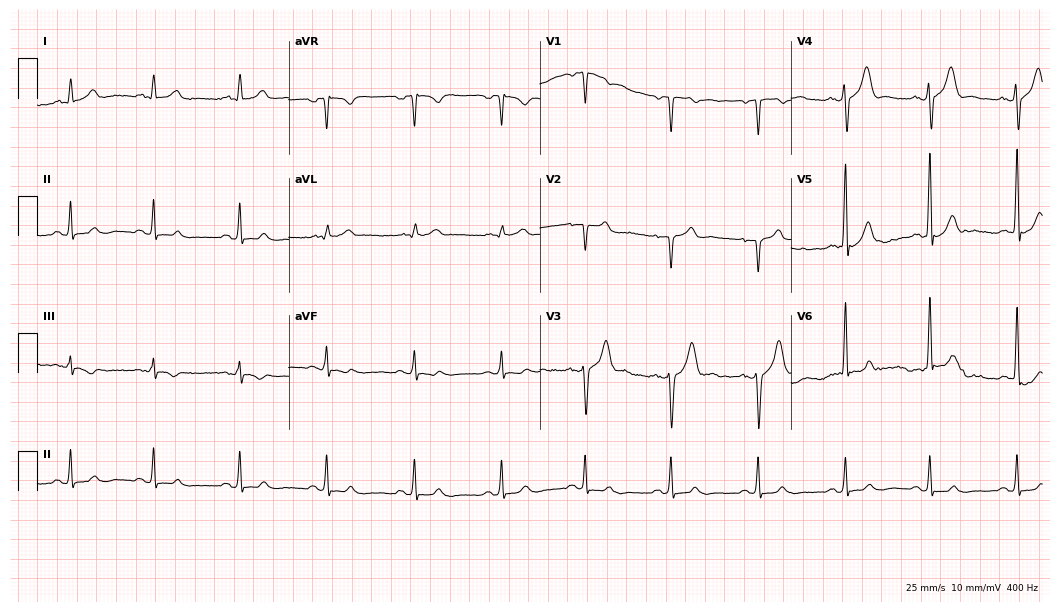
ECG (10.2-second recording at 400 Hz) — a male, 26 years old. Labelled as a normal ECG.